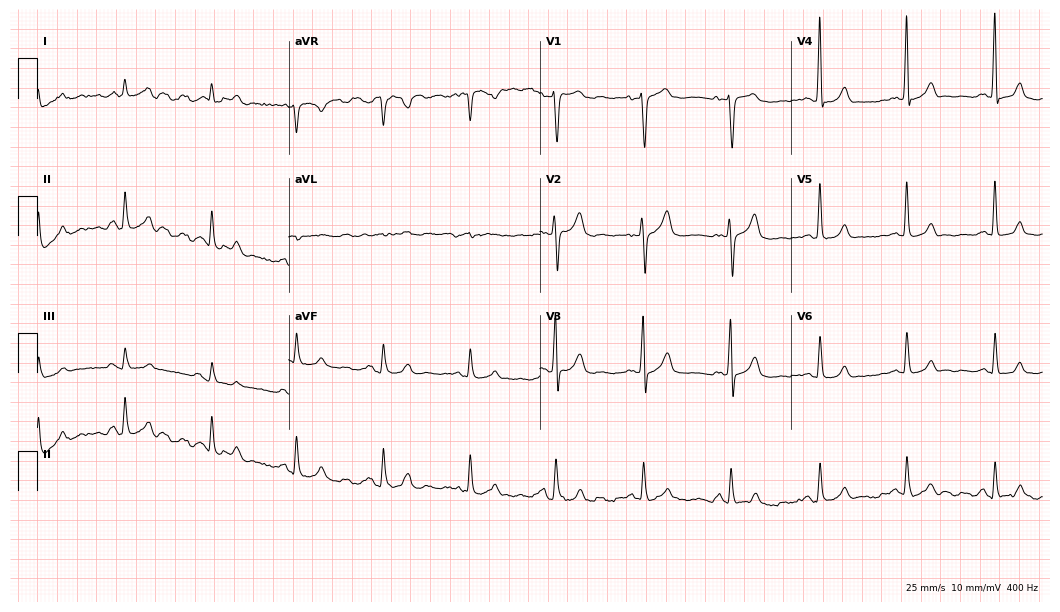
12-lead ECG from a 74-year-old male patient (10.2-second recording at 400 Hz). Recorded interpretation: within normal limits.